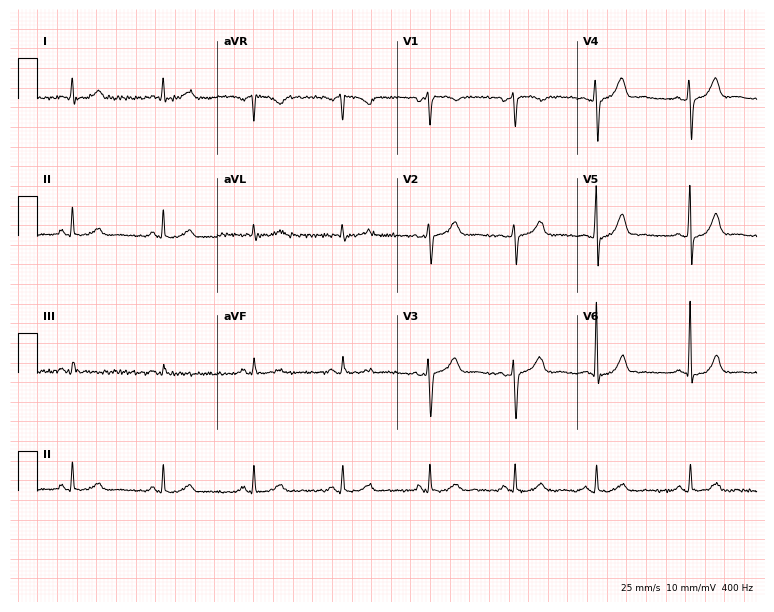
12-lead ECG from a 49-year-old man. Recorded interpretation: within normal limits.